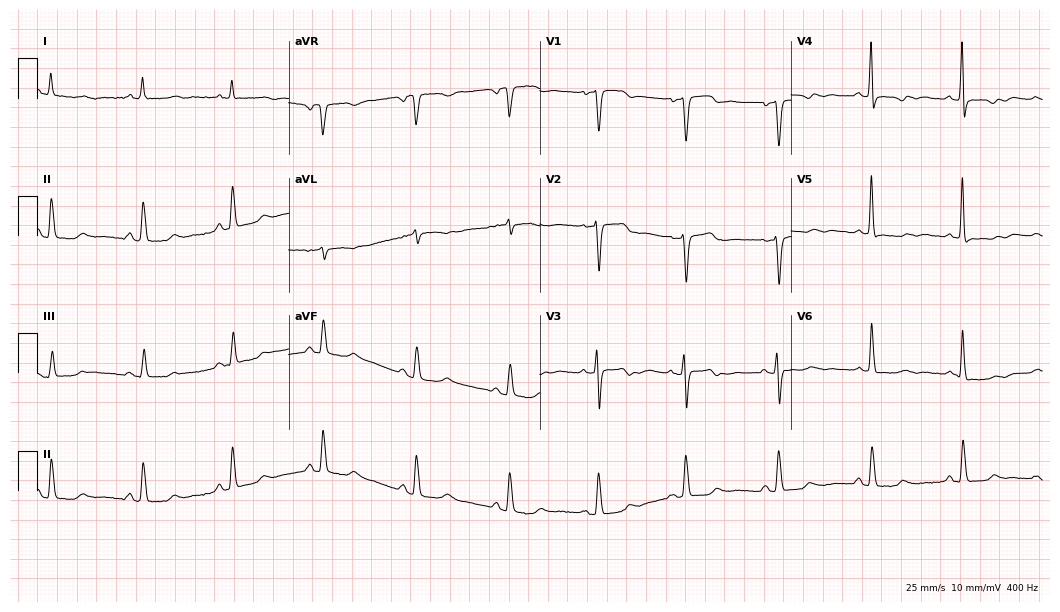
12-lead ECG (10.2-second recording at 400 Hz) from a 73-year-old female patient. Screened for six findings — first-degree AV block, right bundle branch block, left bundle branch block, sinus bradycardia, atrial fibrillation, sinus tachycardia — none is recorded.